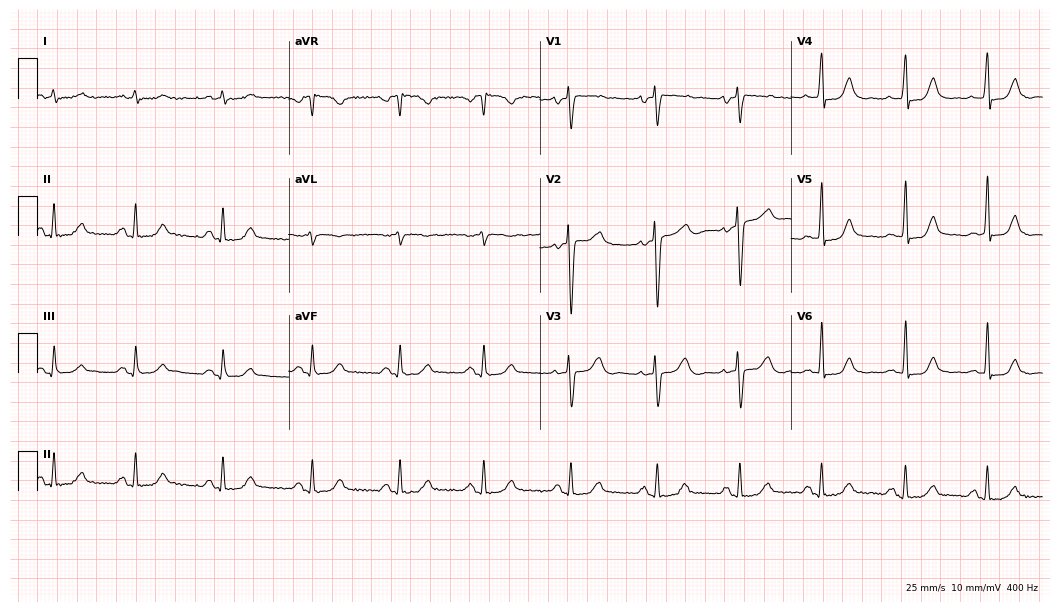
Standard 12-lead ECG recorded from a 51-year-old woman (10.2-second recording at 400 Hz). Read as a normal ECG.